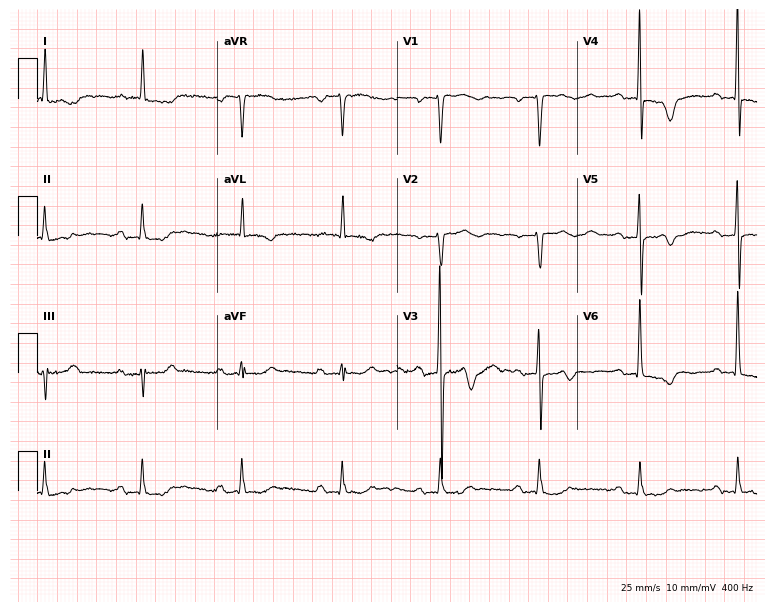
12-lead ECG from a 70-year-old female patient. Findings include first-degree AV block.